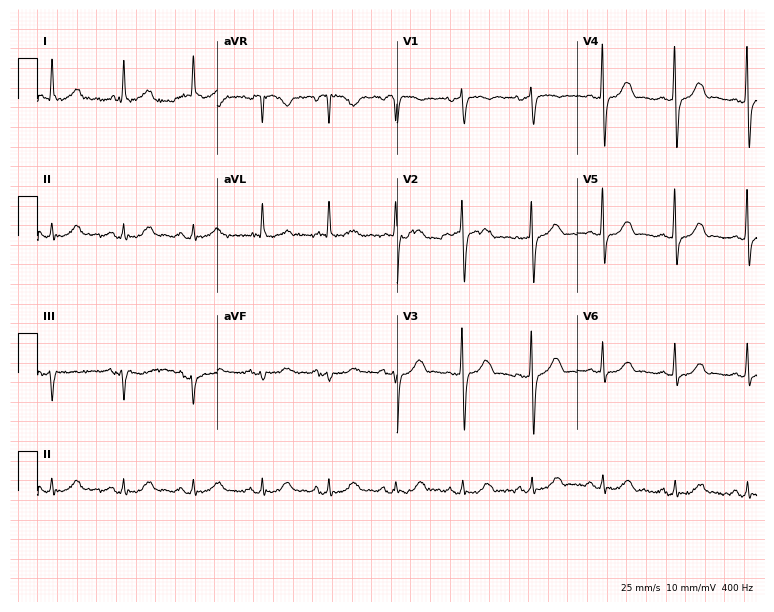
Resting 12-lead electrocardiogram. Patient: a 78-year-old woman. Read as a normal ECG.